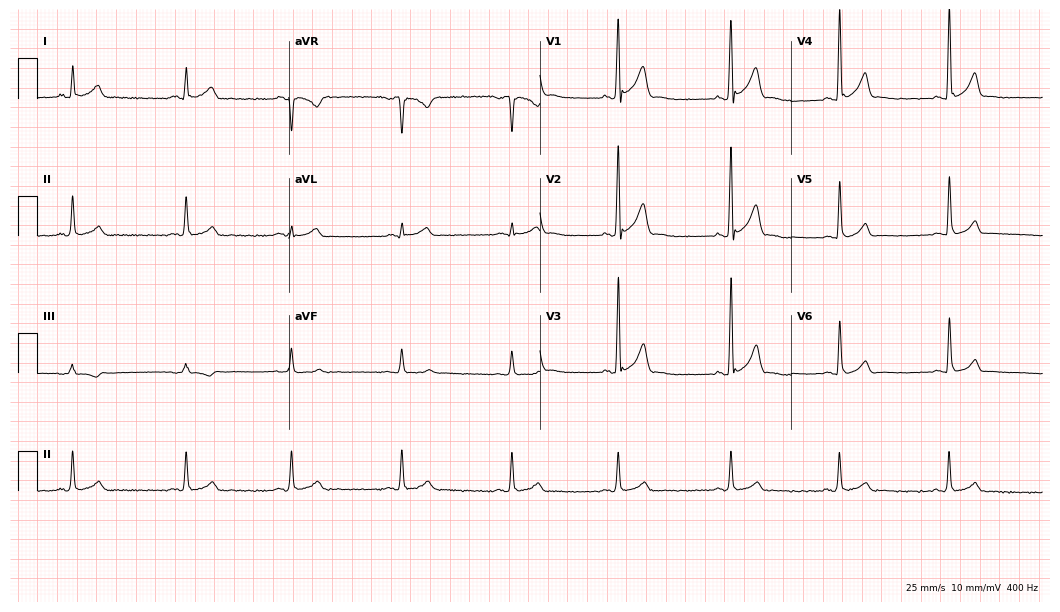
ECG (10.2-second recording at 400 Hz) — a male patient, 26 years old. Screened for six findings — first-degree AV block, right bundle branch block, left bundle branch block, sinus bradycardia, atrial fibrillation, sinus tachycardia — none is recorded.